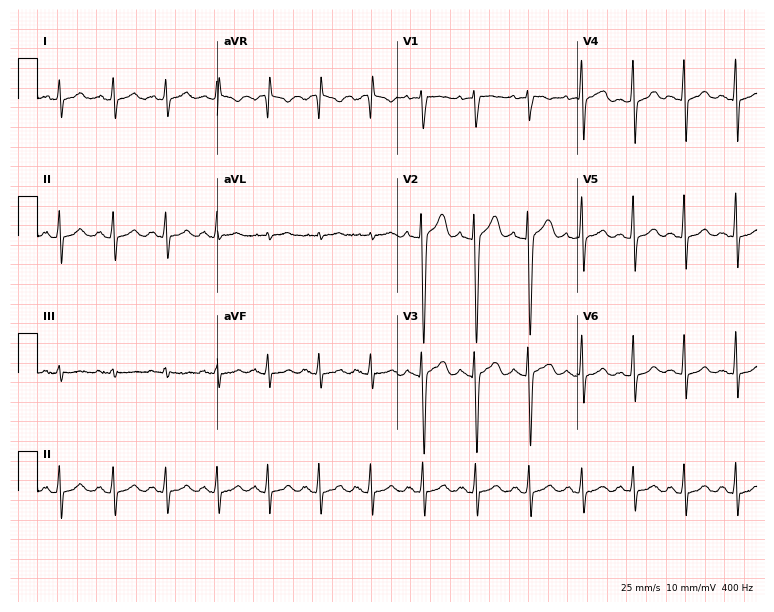
12-lead ECG (7.3-second recording at 400 Hz) from a female patient, 25 years old. Screened for six findings — first-degree AV block, right bundle branch block, left bundle branch block, sinus bradycardia, atrial fibrillation, sinus tachycardia — none is recorded.